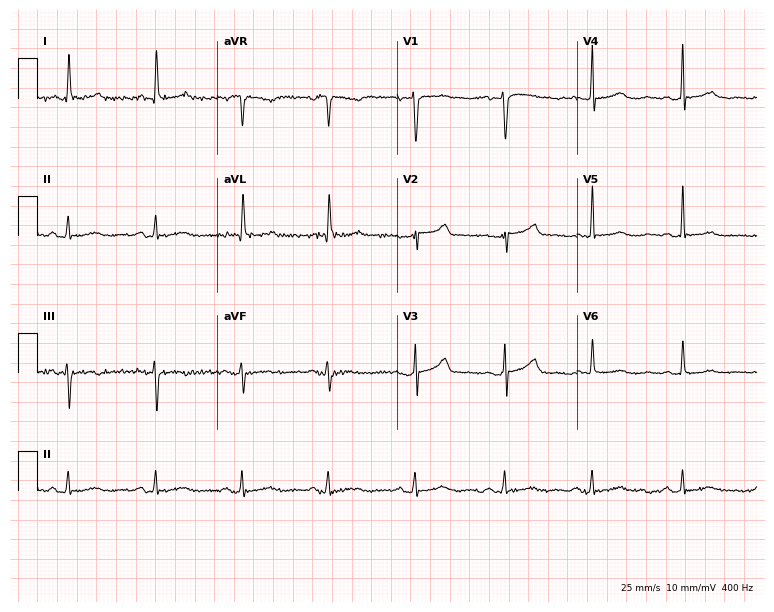
Electrocardiogram, a female patient, 79 years old. Overall reading on record: normal ECG.